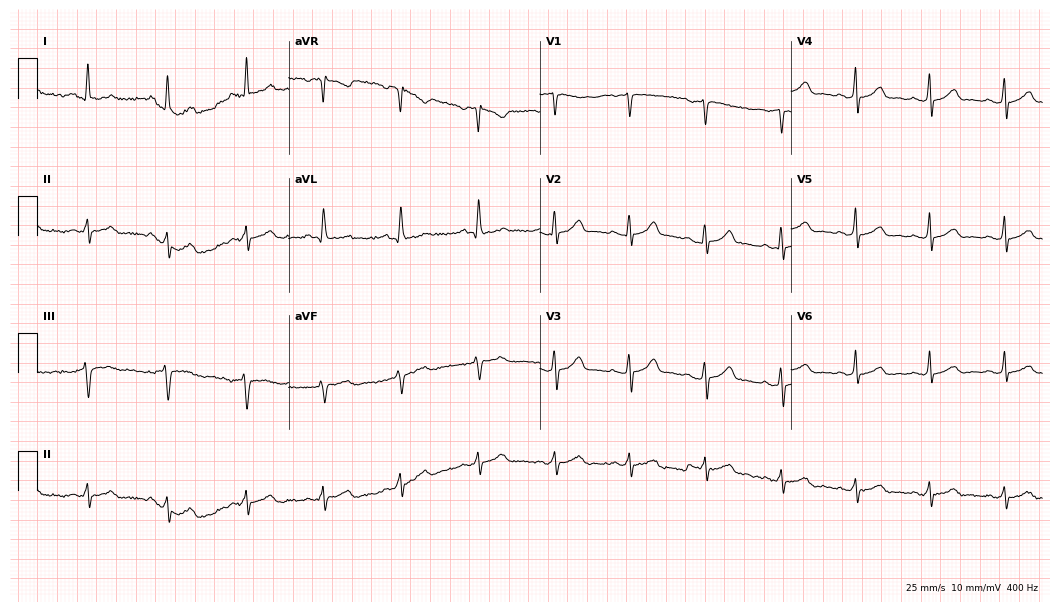
12-lead ECG from a 45-year-old female. No first-degree AV block, right bundle branch block (RBBB), left bundle branch block (LBBB), sinus bradycardia, atrial fibrillation (AF) or sinus tachycardia recorded for this tracing.